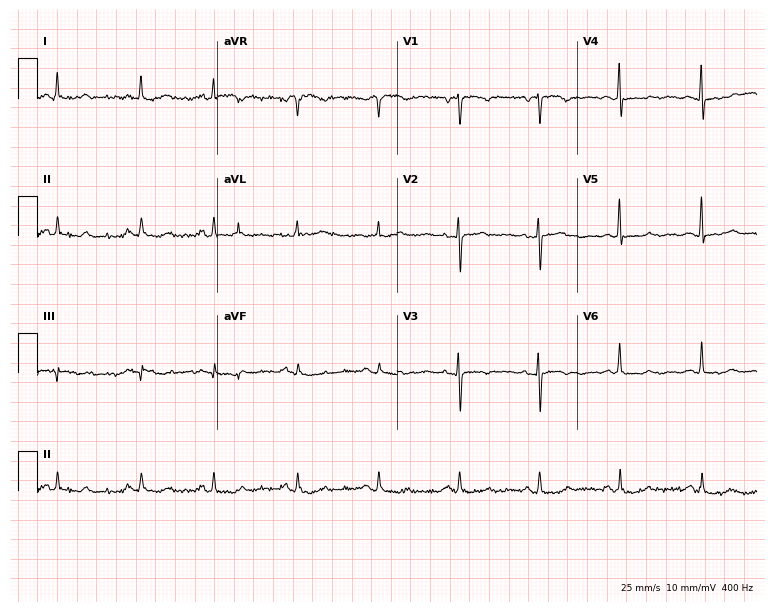
12-lead ECG (7.3-second recording at 400 Hz) from a female, 80 years old. Screened for six findings — first-degree AV block, right bundle branch block, left bundle branch block, sinus bradycardia, atrial fibrillation, sinus tachycardia — none is recorded. Only these six findings were labelled.